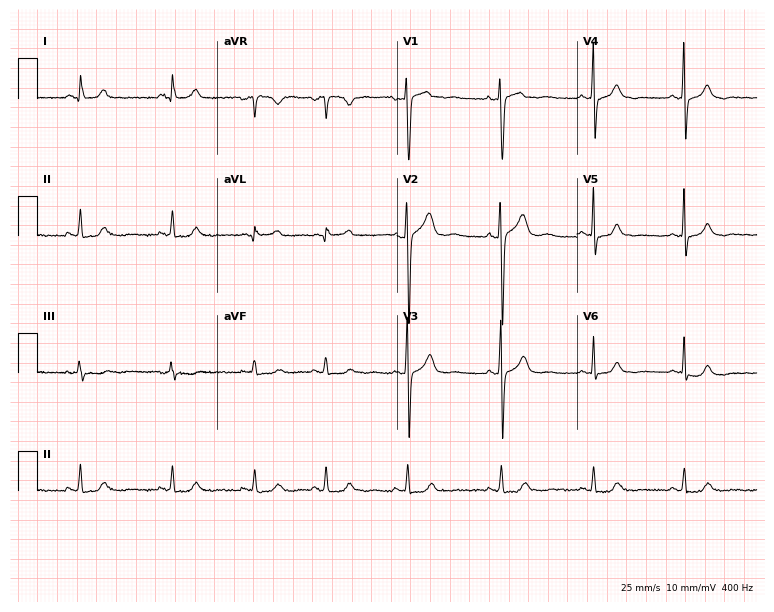
Electrocardiogram (7.3-second recording at 400 Hz), a 27-year-old female. Overall reading on record: normal ECG.